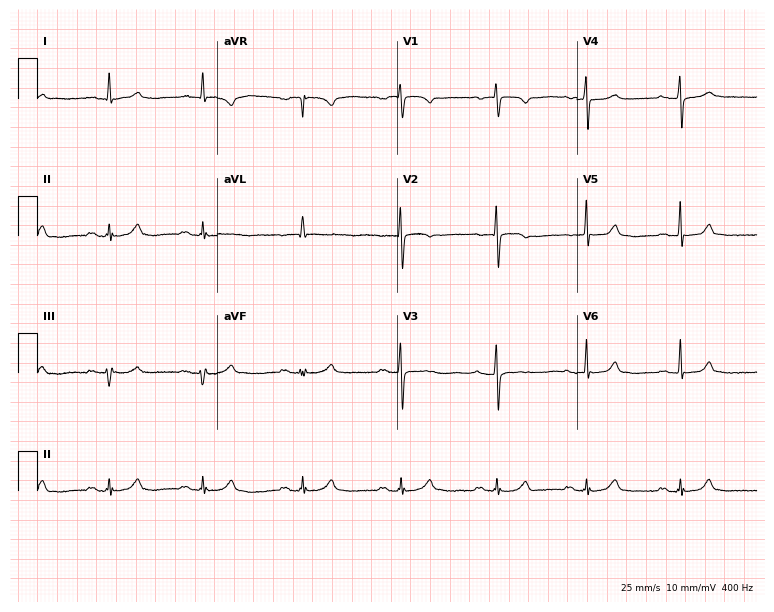
12-lead ECG from a female patient, 66 years old. Shows first-degree AV block.